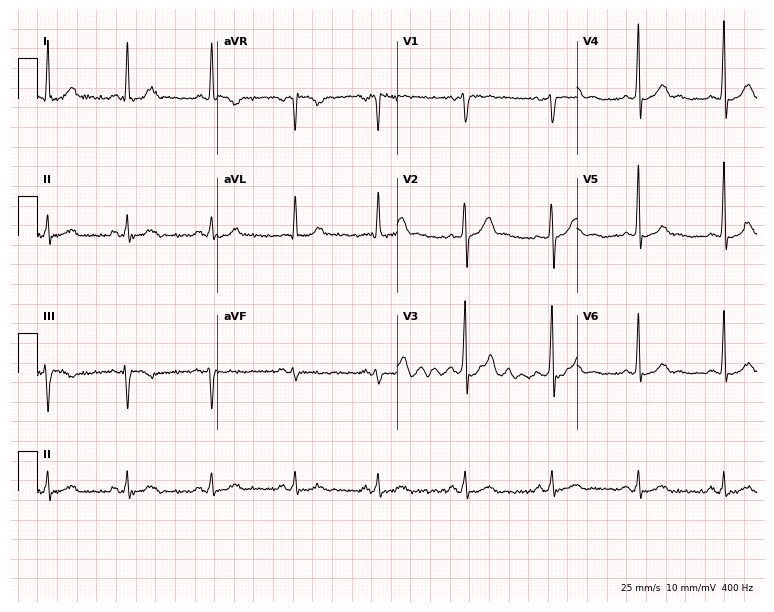
Electrocardiogram, a 45-year-old male patient. Overall reading on record: normal ECG.